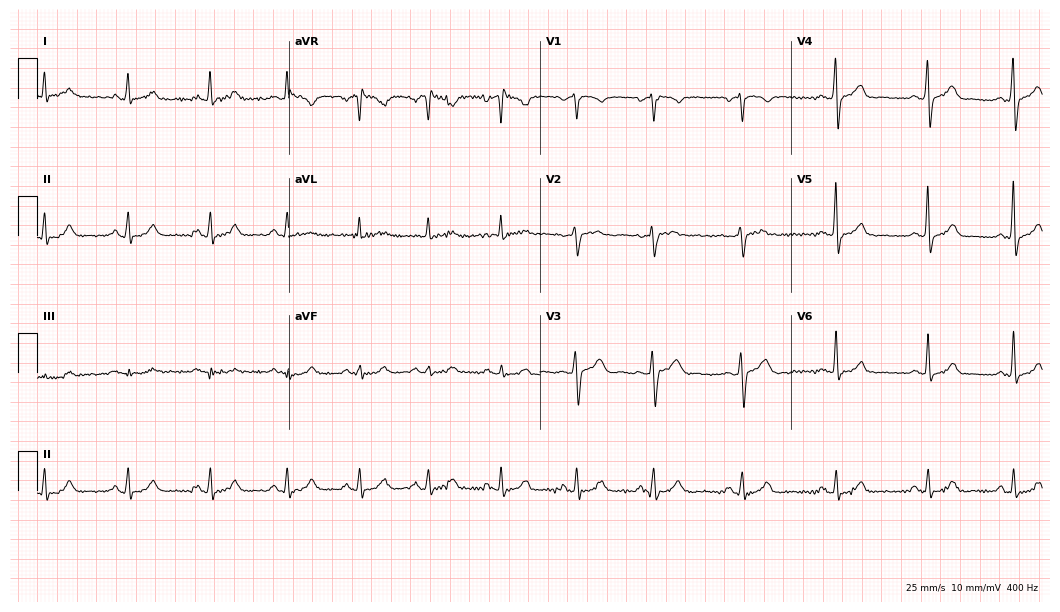
12-lead ECG (10.2-second recording at 400 Hz) from a man, 47 years old. Screened for six findings — first-degree AV block, right bundle branch block, left bundle branch block, sinus bradycardia, atrial fibrillation, sinus tachycardia — none is recorded.